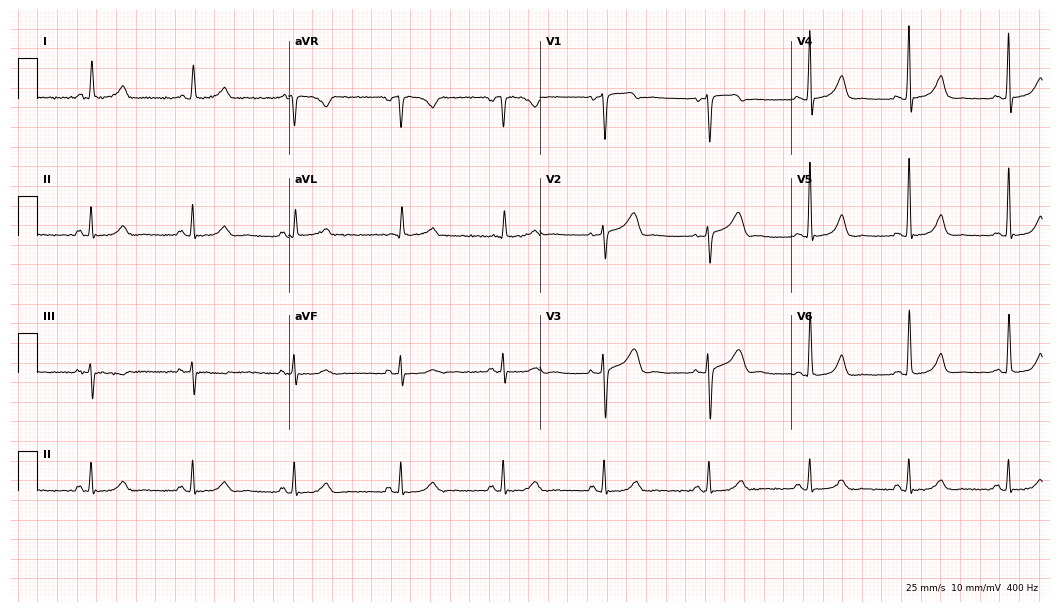
Electrocardiogram, a 56-year-old female patient. Of the six screened findings (first-degree AV block, right bundle branch block, left bundle branch block, sinus bradycardia, atrial fibrillation, sinus tachycardia), none is recorded. Other findings, if any, are not listed.